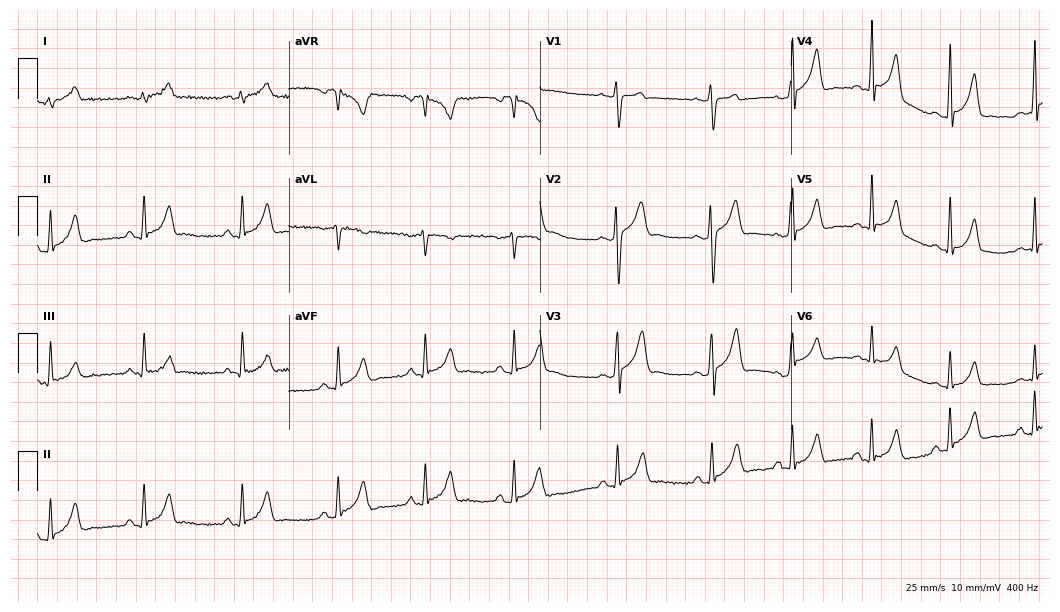
Resting 12-lead electrocardiogram (10.2-second recording at 400 Hz). Patient: a male, 22 years old. None of these six findings is recorded: first-degree AV block, right bundle branch block (RBBB), left bundle branch block (LBBB), sinus bradycardia, atrial fibrillation (AF), sinus tachycardia.